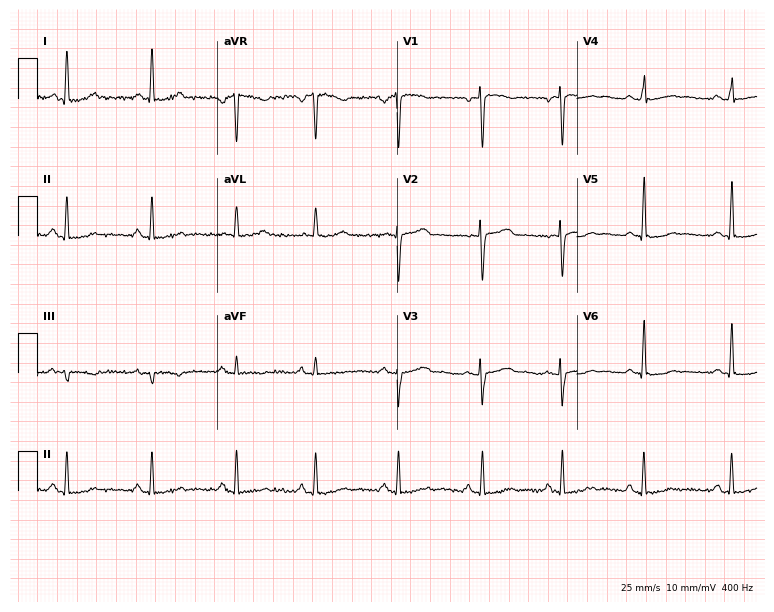
12-lead ECG (7.3-second recording at 400 Hz) from a female, 37 years old. Labelled as a normal ECG.